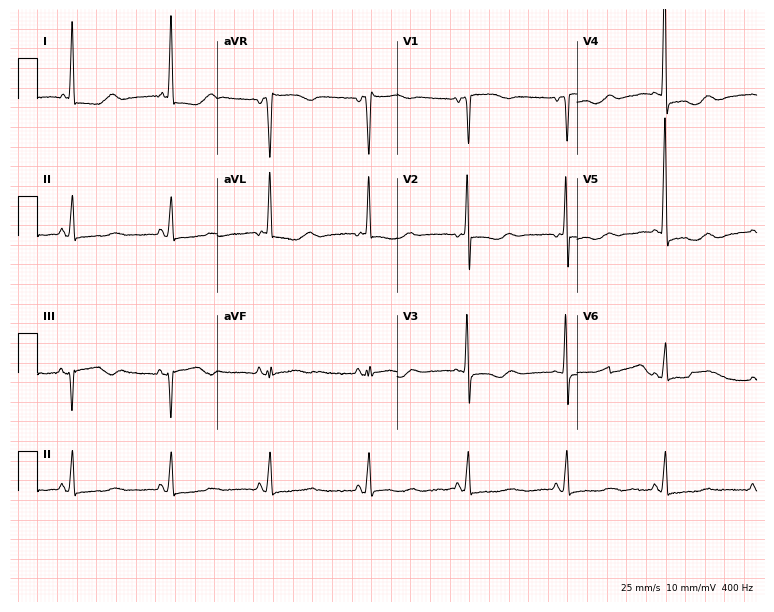
12-lead ECG from a 79-year-old female (7.3-second recording at 400 Hz). No first-degree AV block, right bundle branch block, left bundle branch block, sinus bradycardia, atrial fibrillation or sinus tachycardia recorded for this tracing. Findings outside these six are not listed.